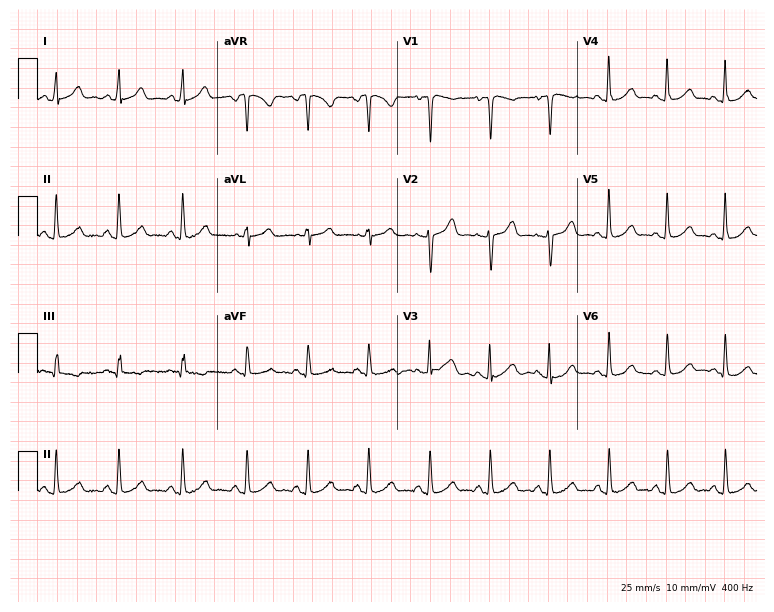
Electrocardiogram, a female patient, 25 years old. Of the six screened findings (first-degree AV block, right bundle branch block, left bundle branch block, sinus bradycardia, atrial fibrillation, sinus tachycardia), none is recorded.